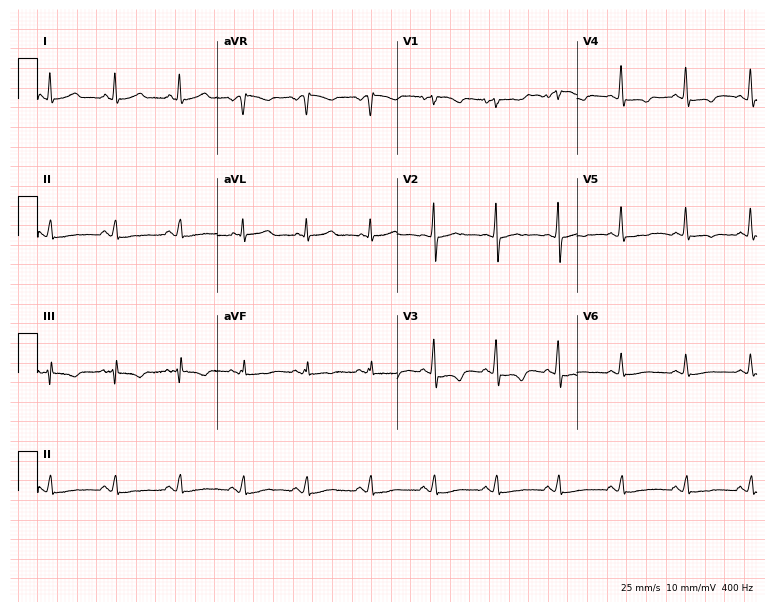
12-lead ECG from a 66-year-old female patient (7.3-second recording at 400 Hz). No first-degree AV block, right bundle branch block, left bundle branch block, sinus bradycardia, atrial fibrillation or sinus tachycardia recorded for this tracing. Other findings, if any, are not listed.